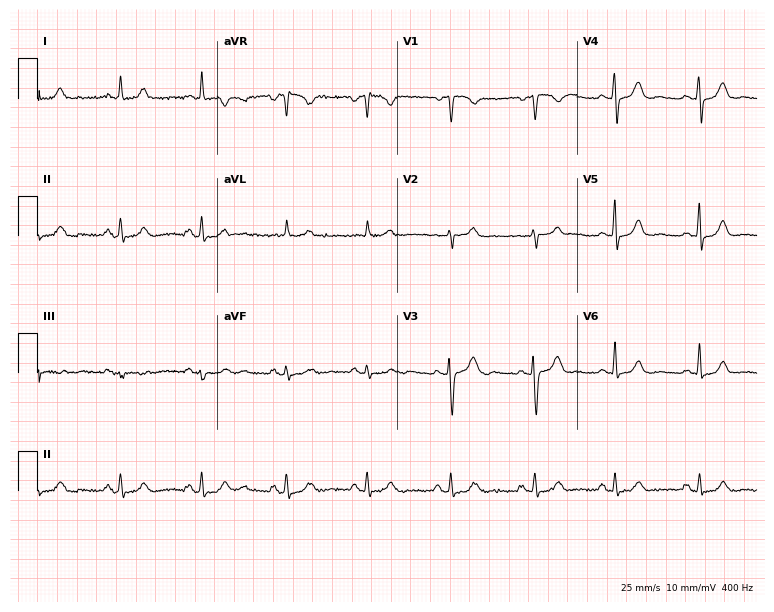
Standard 12-lead ECG recorded from a 42-year-old female patient. Read as a normal ECG.